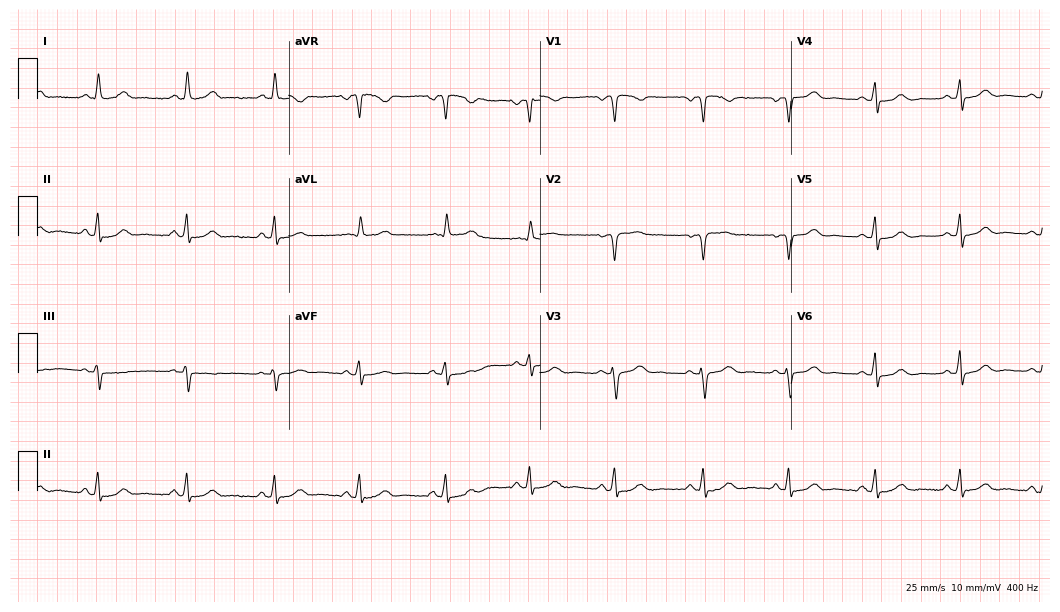
Standard 12-lead ECG recorded from a 48-year-old female patient. Read as a normal ECG.